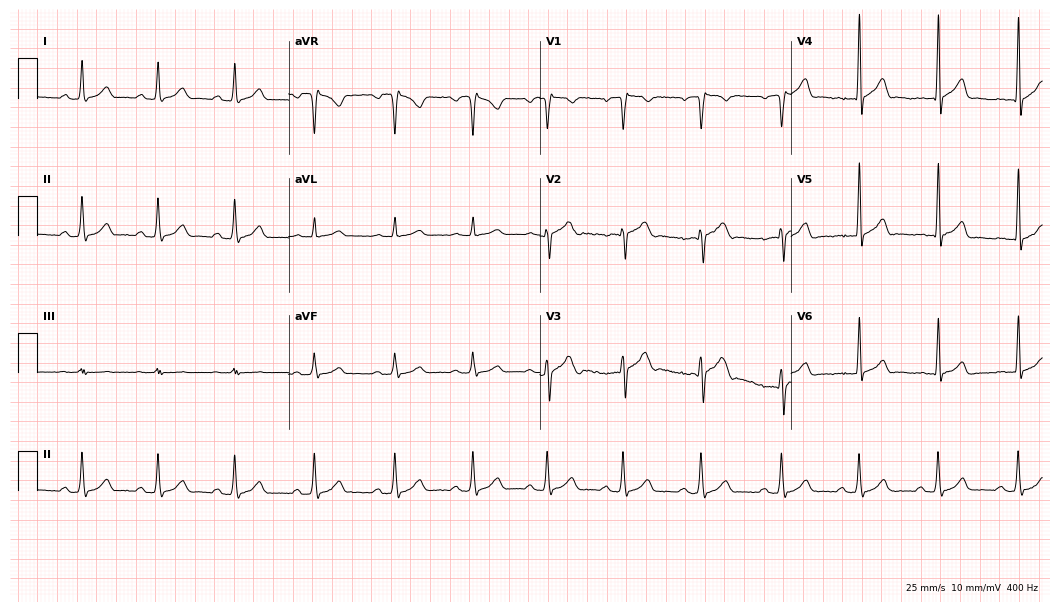
Electrocardiogram (10.2-second recording at 400 Hz), a male patient, 35 years old. Overall reading on record: normal ECG.